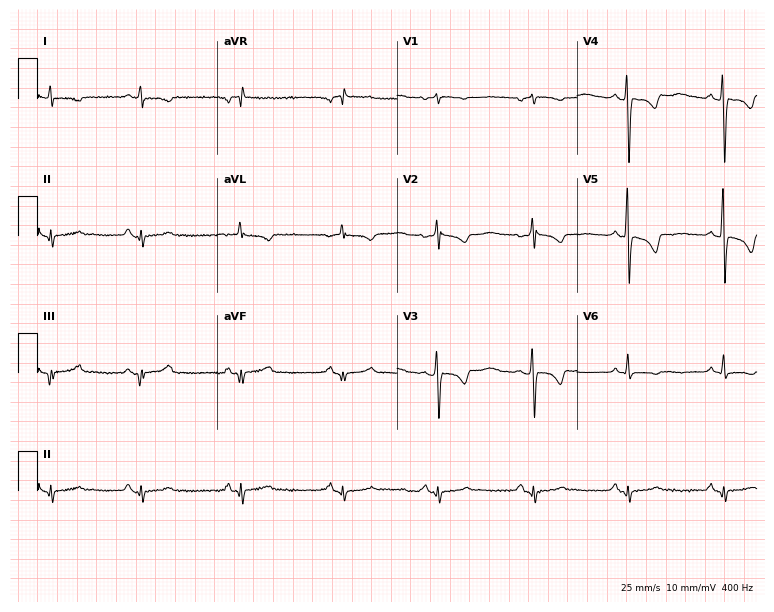
12-lead ECG from a 61-year-old female. Screened for six findings — first-degree AV block, right bundle branch block, left bundle branch block, sinus bradycardia, atrial fibrillation, sinus tachycardia — none is recorded. Findings outside these six are not listed.